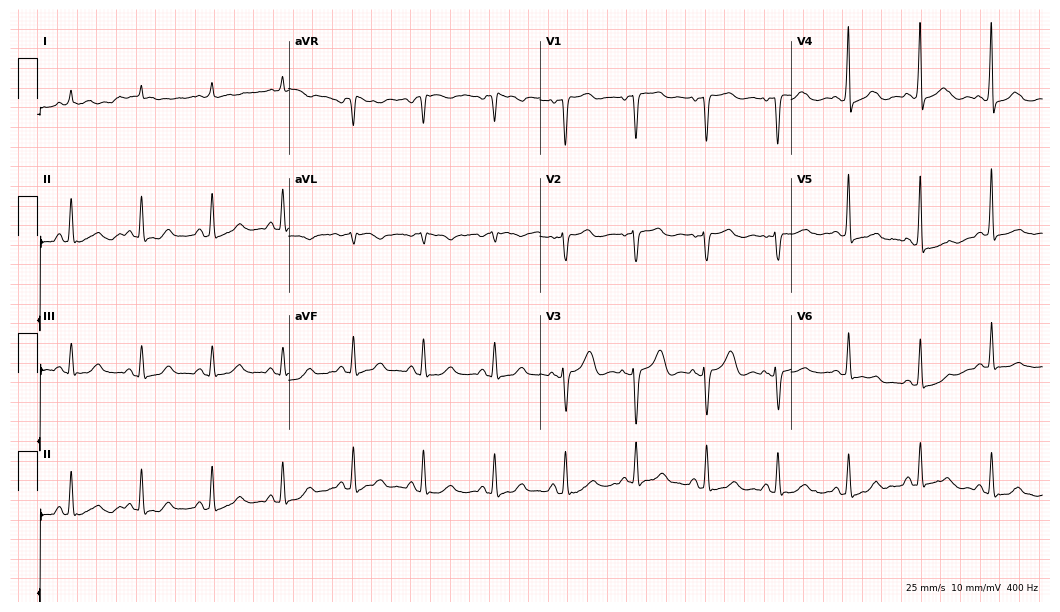
Standard 12-lead ECG recorded from an 80-year-old female (10.2-second recording at 400 Hz). None of these six findings is recorded: first-degree AV block, right bundle branch block, left bundle branch block, sinus bradycardia, atrial fibrillation, sinus tachycardia.